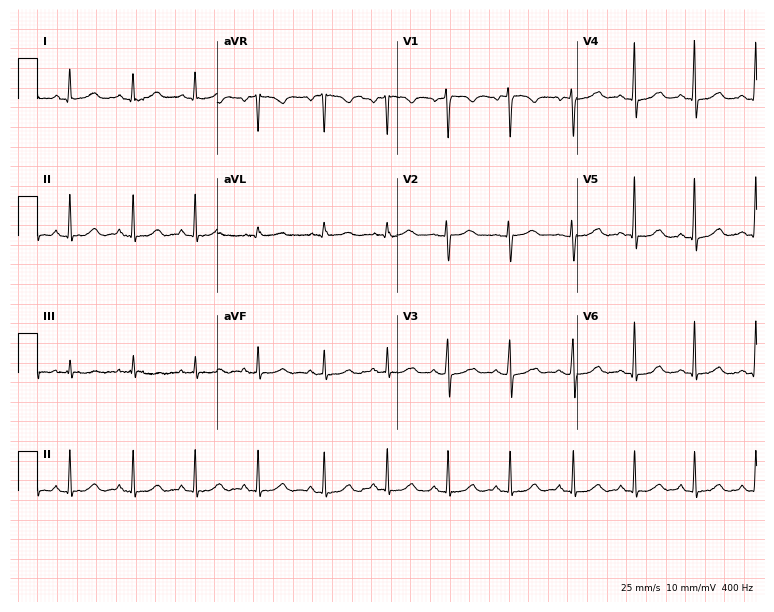
Standard 12-lead ECG recorded from a woman, 40 years old. Read as a normal ECG.